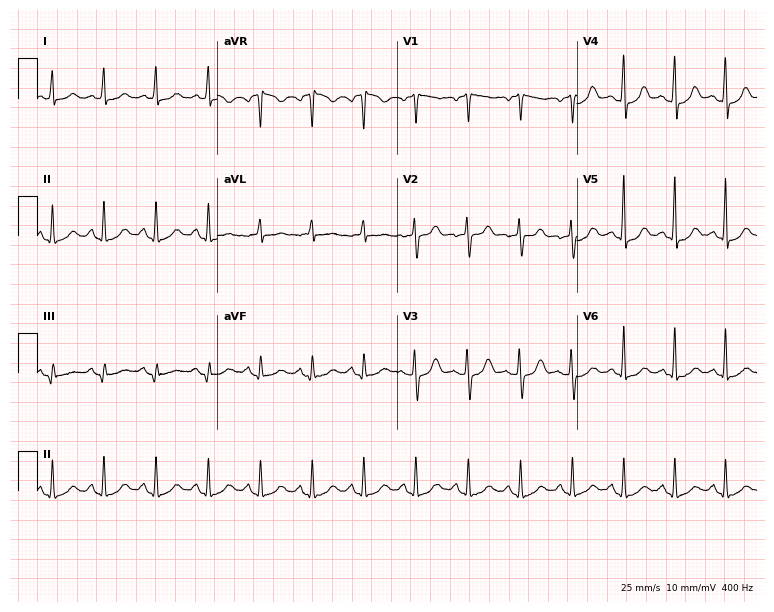
Resting 12-lead electrocardiogram (7.3-second recording at 400 Hz). Patient: a 58-year-old woman. The tracing shows sinus tachycardia (a sinus rate of 100 beats per minute or more).